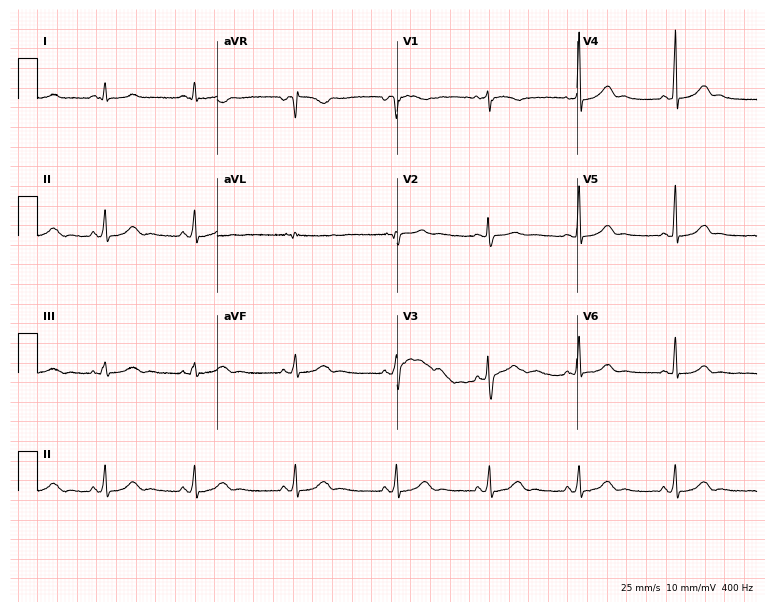
Standard 12-lead ECG recorded from a 19-year-old woman. Read as a normal ECG.